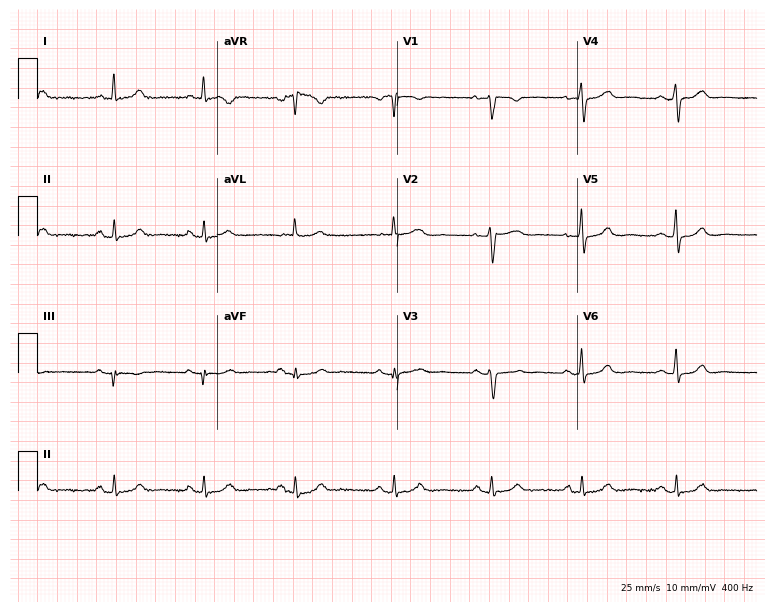
ECG (7.3-second recording at 400 Hz) — a female, 47 years old. Labelled as a normal ECG.